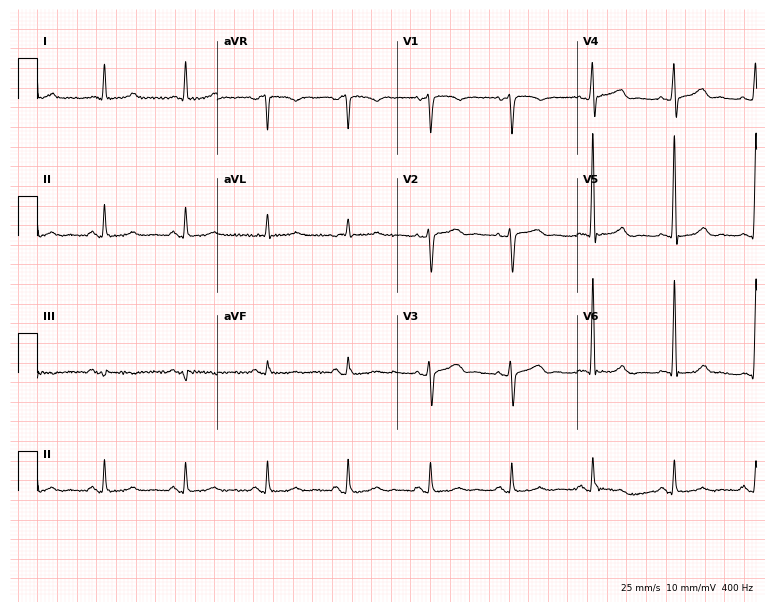
ECG (7.3-second recording at 400 Hz) — a 72-year-old male. Labelled as a normal ECG.